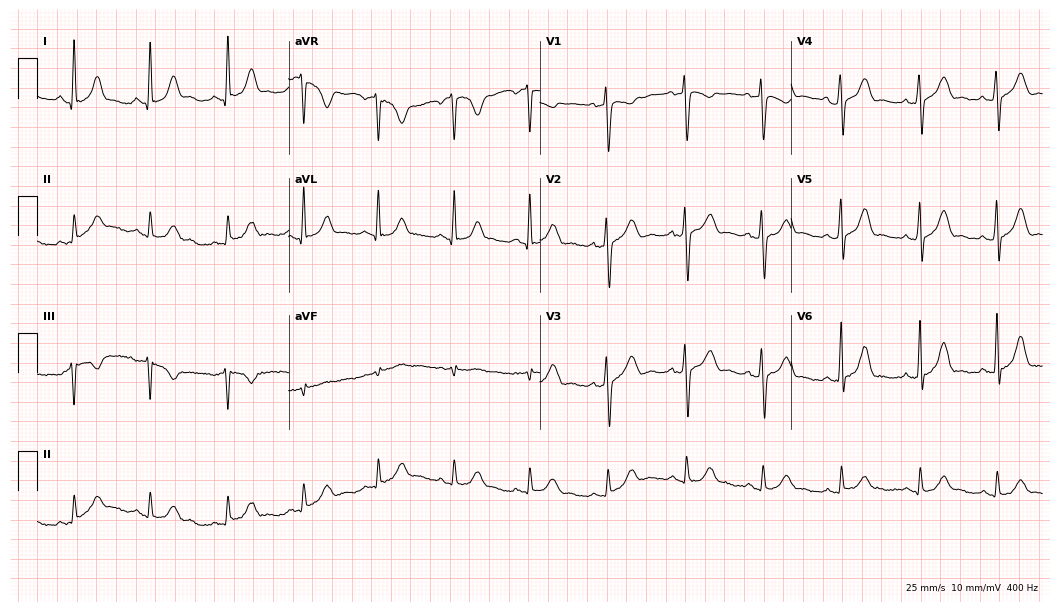
ECG (10.2-second recording at 400 Hz) — a 19-year-old female. Labelled as a normal ECG.